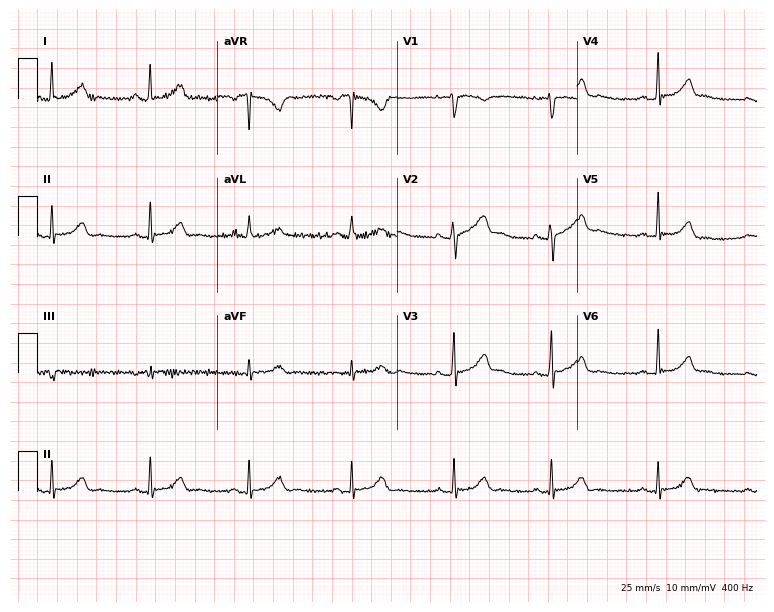
12-lead ECG (7.3-second recording at 400 Hz) from a 43-year-old female patient. Labelled as a normal ECG.